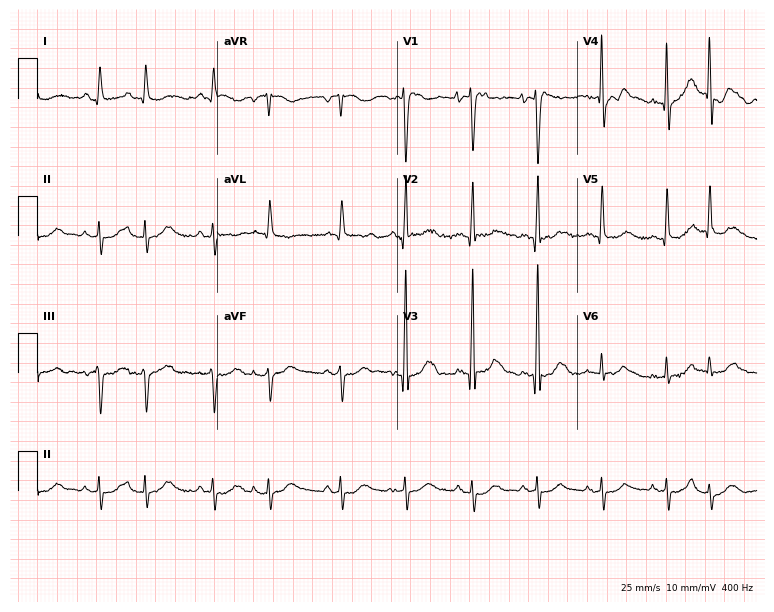
Electrocardiogram, a male, 77 years old. Of the six screened findings (first-degree AV block, right bundle branch block, left bundle branch block, sinus bradycardia, atrial fibrillation, sinus tachycardia), none is recorded.